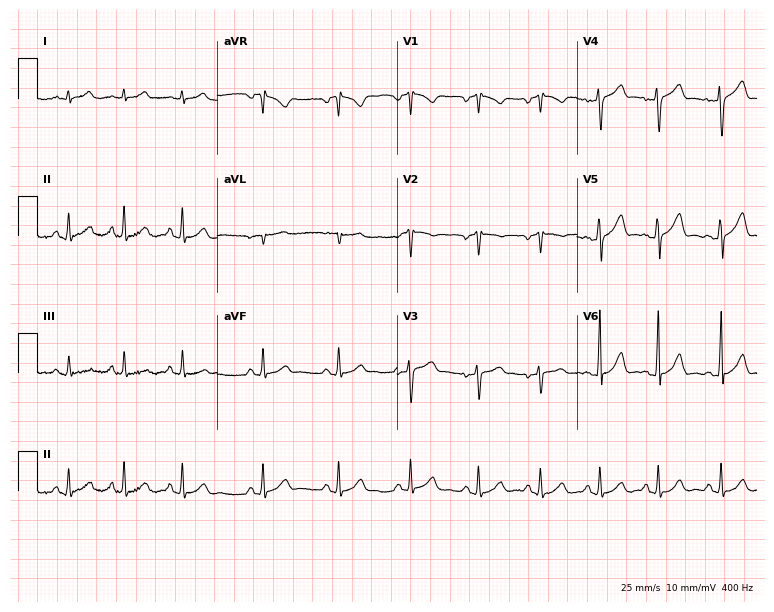
12-lead ECG from a man, 31 years old. Recorded interpretation: within normal limits.